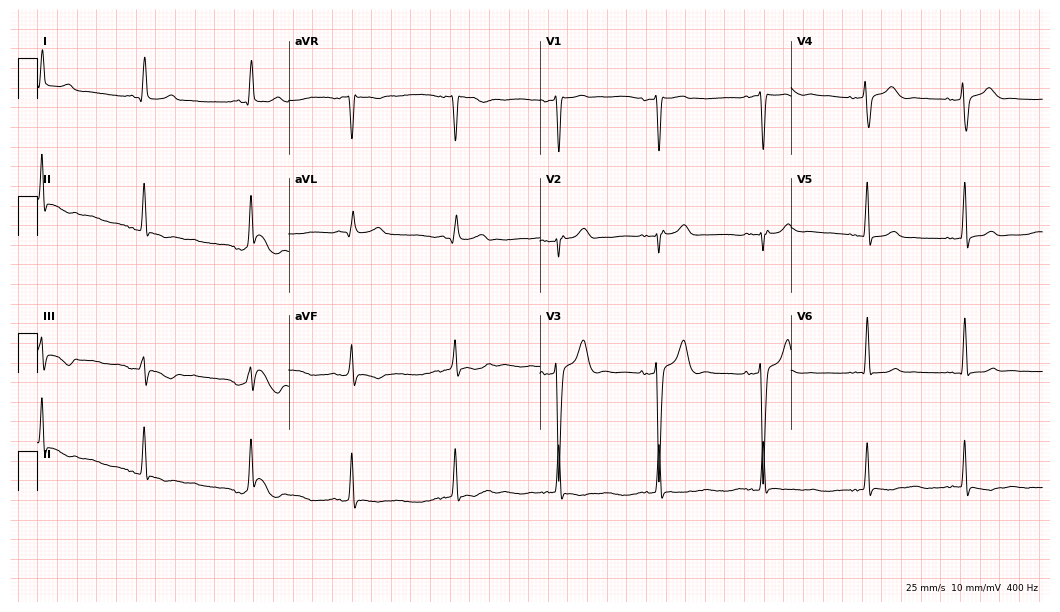
Standard 12-lead ECG recorded from a 45-year-old male (10.2-second recording at 400 Hz). None of these six findings is recorded: first-degree AV block, right bundle branch block, left bundle branch block, sinus bradycardia, atrial fibrillation, sinus tachycardia. Only these six findings were labelled.